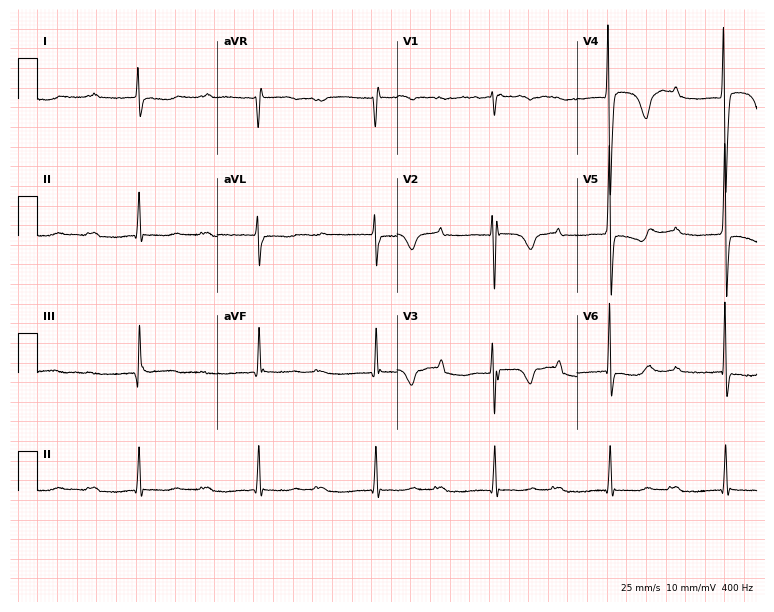
Electrocardiogram, a male patient, 50 years old. Of the six screened findings (first-degree AV block, right bundle branch block (RBBB), left bundle branch block (LBBB), sinus bradycardia, atrial fibrillation (AF), sinus tachycardia), none is recorded. Only these six findings were labelled.